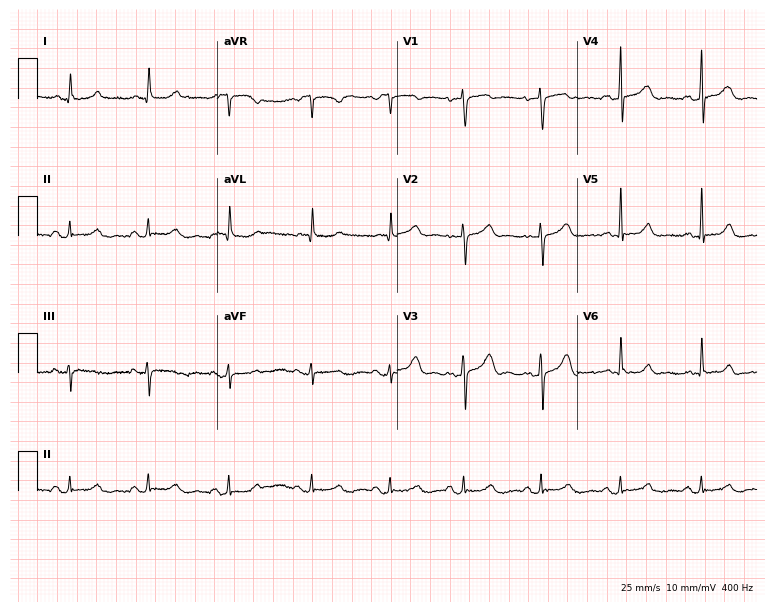
Standard 12-lead ECG recorded from a female, 48 years old. None of these six findings is recorded: first-degree AV block, right bundle branch block, left bundle branch block, sinus bradycardia, atrial fibrillation, sinus tachycardia. Only these six findings were labelled.